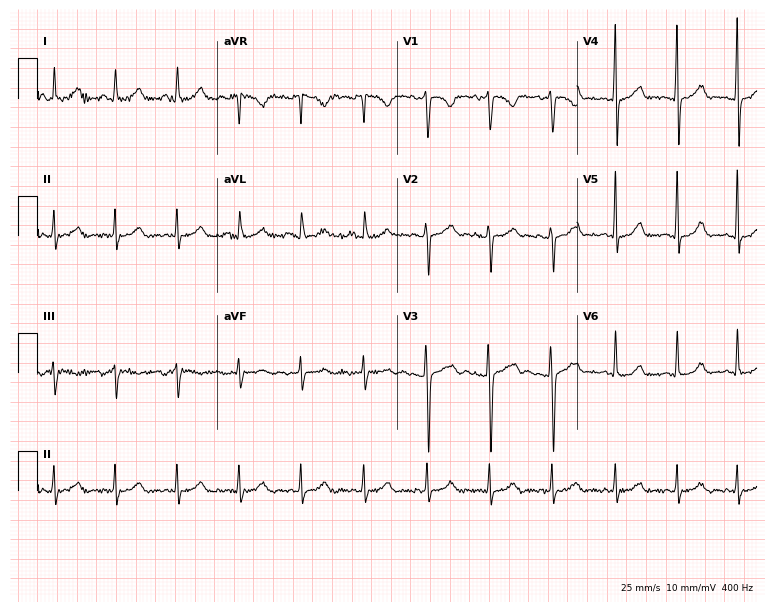
Resting 12-lead electrocardiogram. Patient: a woman, 30 years old. None of these six findings is recorded: first-degree AV block, right bundle branch block, left bundle branch block, sinus bradycardia, atrial fibrillation, sinus tachycardia. Findings outside these six are not listed.